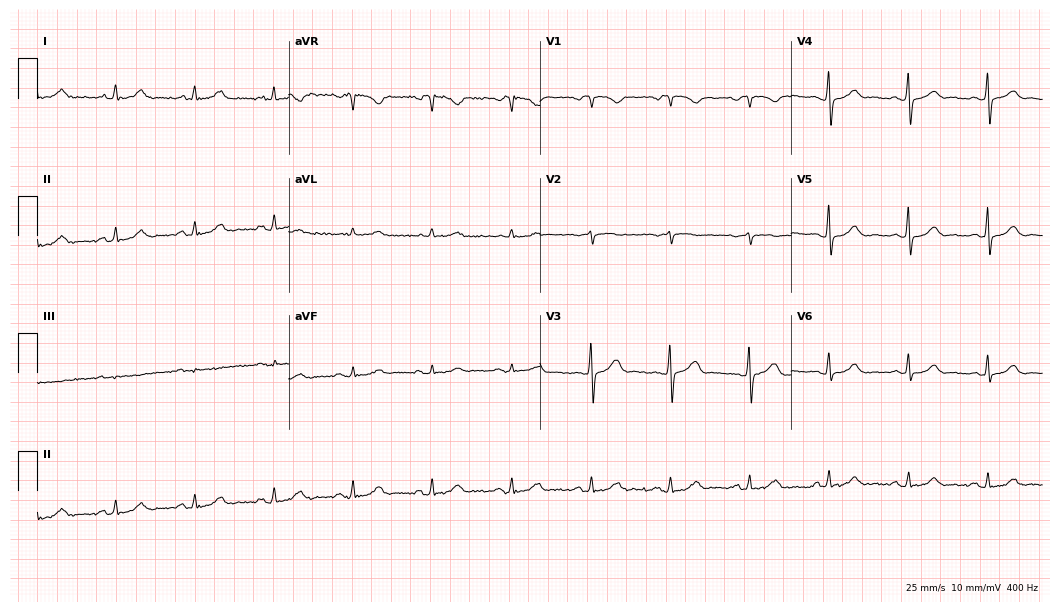
Electrocardiogram, a female patient, 69 years old. Overall reading on record: normal ECG.